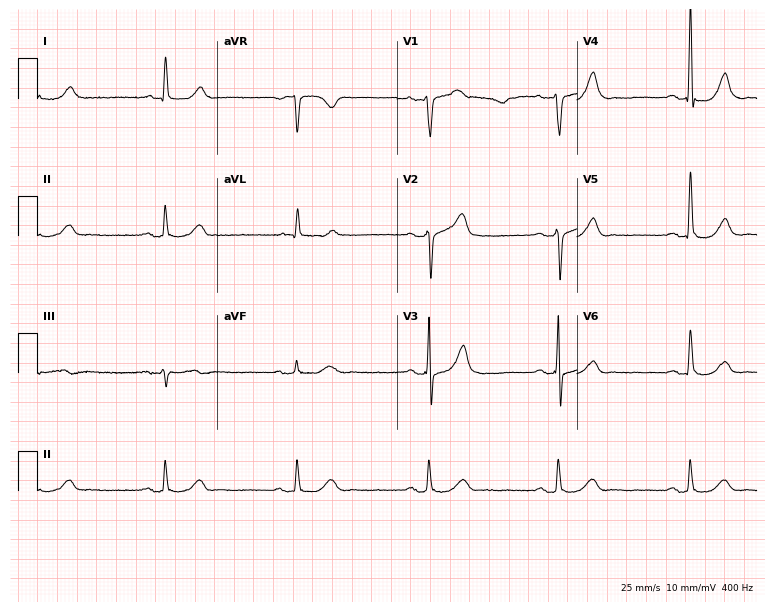
12-lead ECG from a man, 71 years old. Findings include sinus bradycardia (a sinus rate of 50 beats per minute or less).